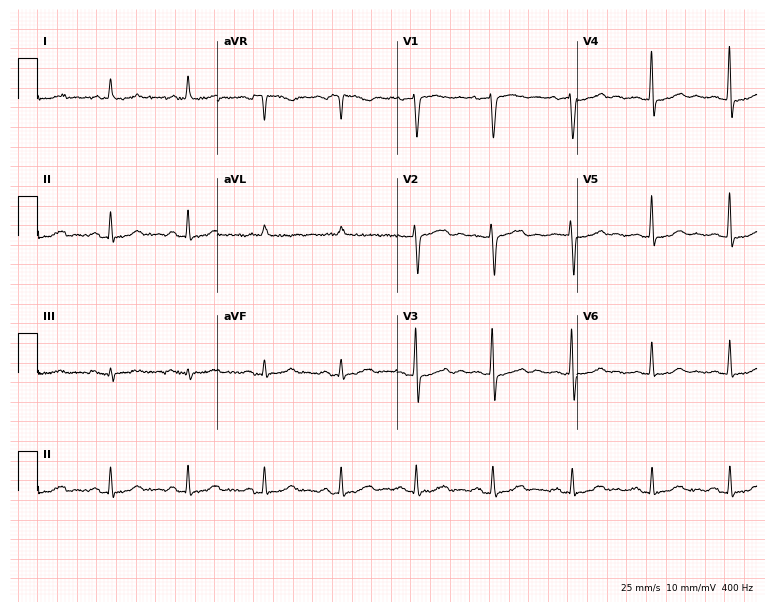
Resting 12-lead electrocardiogram. Patient: a 60-year-old woman. Read as a normal ECG.